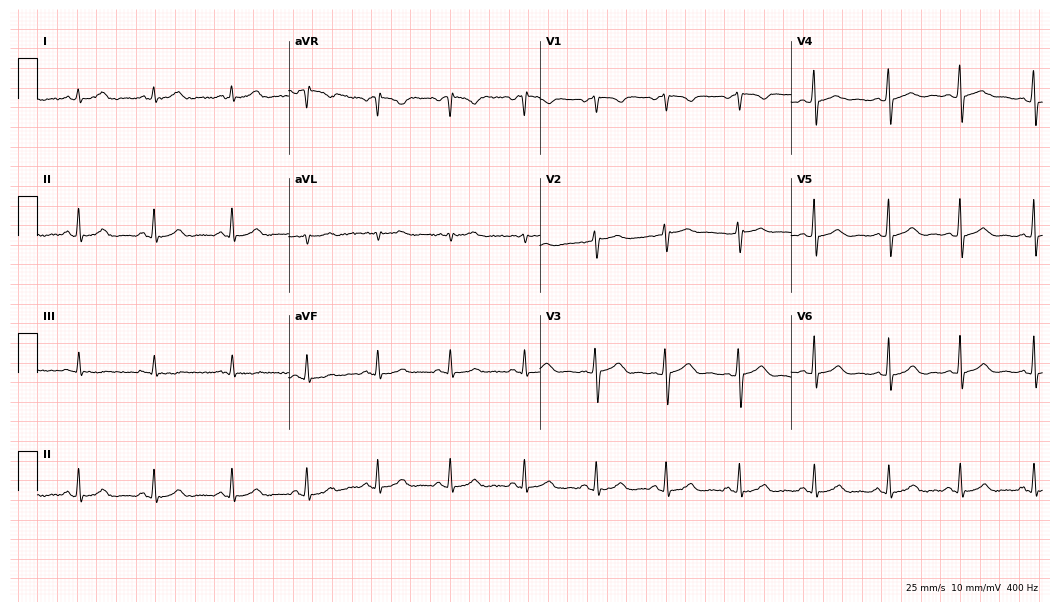
Electrocardiogram (10.2-second recording at 400 Hz), a female patient, 37 years old. Overall reading on record: normal ECG.